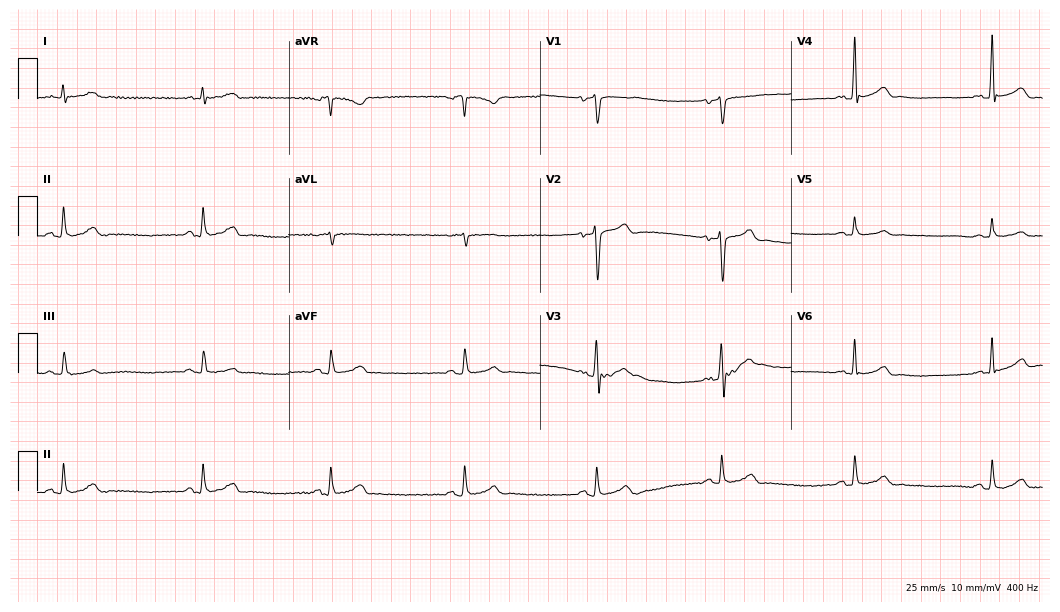
Standard 12-lead ECG recorded from a 43-year-old male patient (10.2-second recording at 400 Hz). None of these six findings is recorded: first-degree AV block, right bundle branch block (RBBB), left bundle branch block (LBBB), sinus bradycardia, atrial fibrillation (AF), sinus tachycardia. Other findings, if any, are not listed.